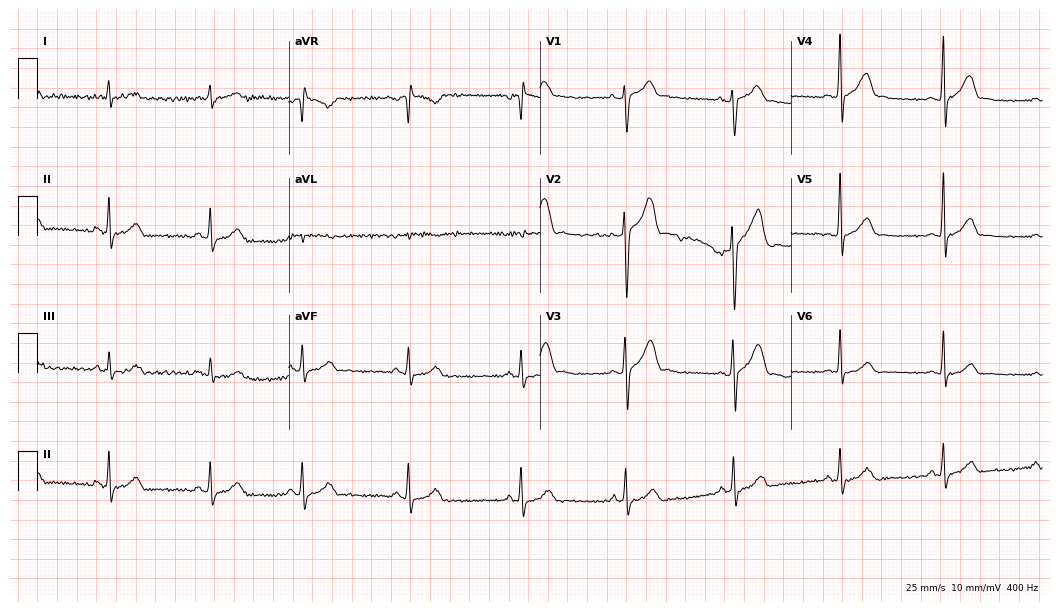
Resting 12-lead electrocardiogram (10.2-second recording at 400 Hz). Patient: a male, 26 years old. Read as a normal ECG.